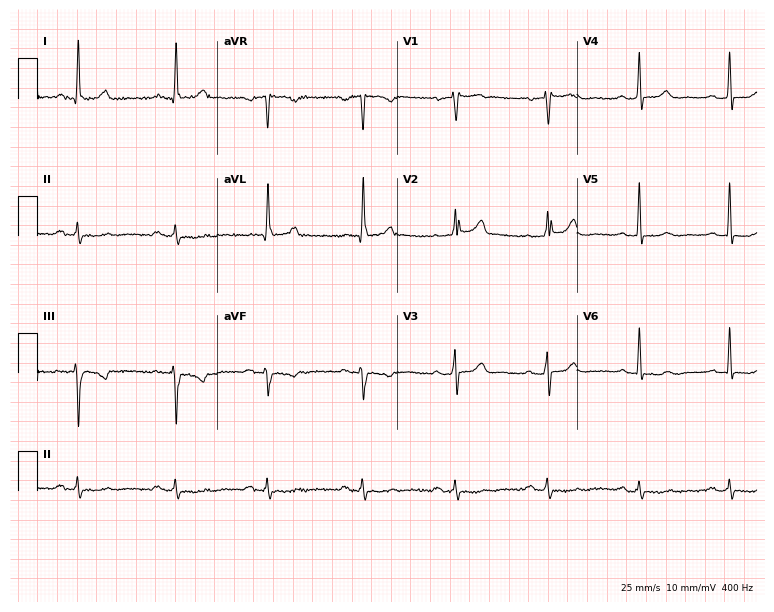
Resting 12-lead electrocardiogram. Patient: a man, 38 years old. None of these six findings is recorded: first-degree AV block, right bundle branch block, left bundle branch block, sinus bradycardia, atrial fibrillation, sinus tachycardia.